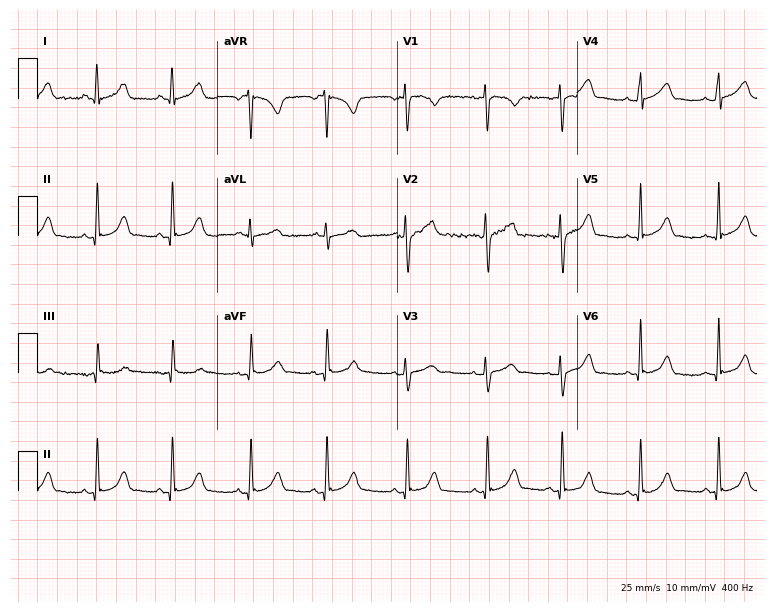
12-lead ECG from a female patient, 17 years old. Recorded interpretation: within normal limits.